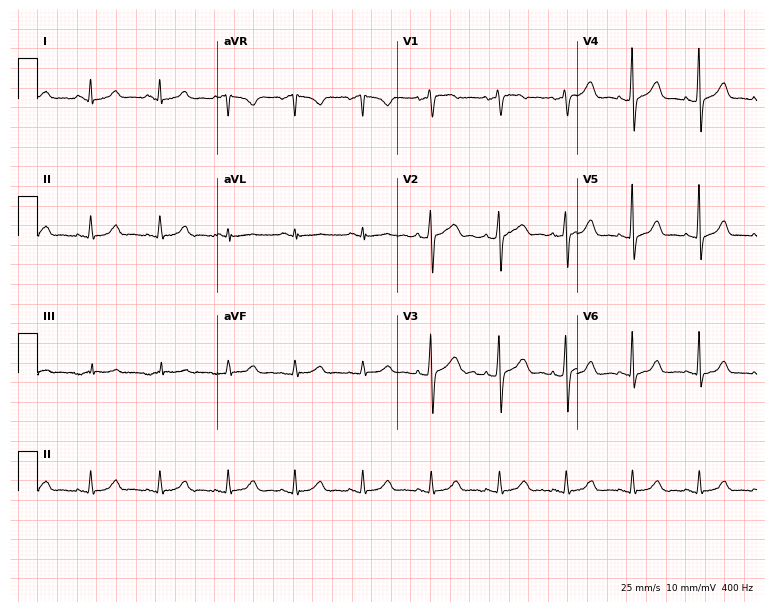
12-lead ECG from a 43-year-old female (7.3-second recording at 400 Hz). Recorded interpretation: within normal limits.